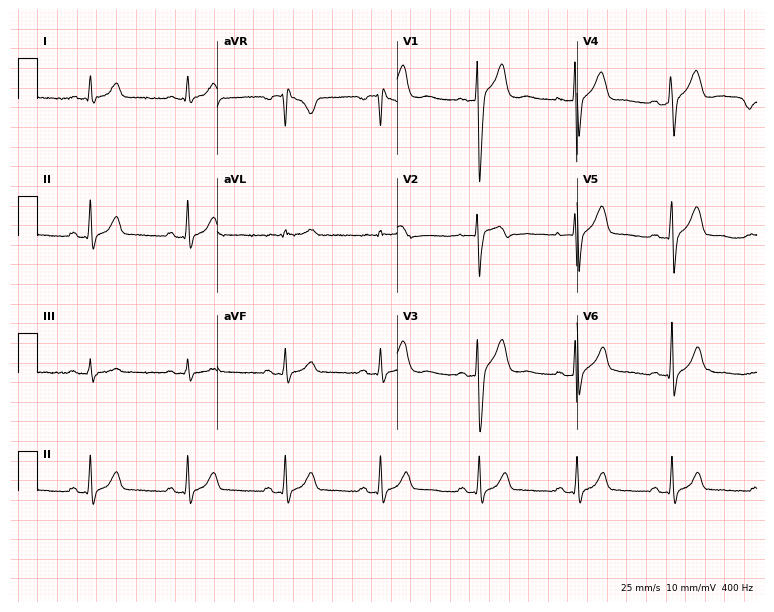
12-lead ECG (7.3-second recording at 400 Hz) from a man, 34 years old. Labelled as a normal ECG.